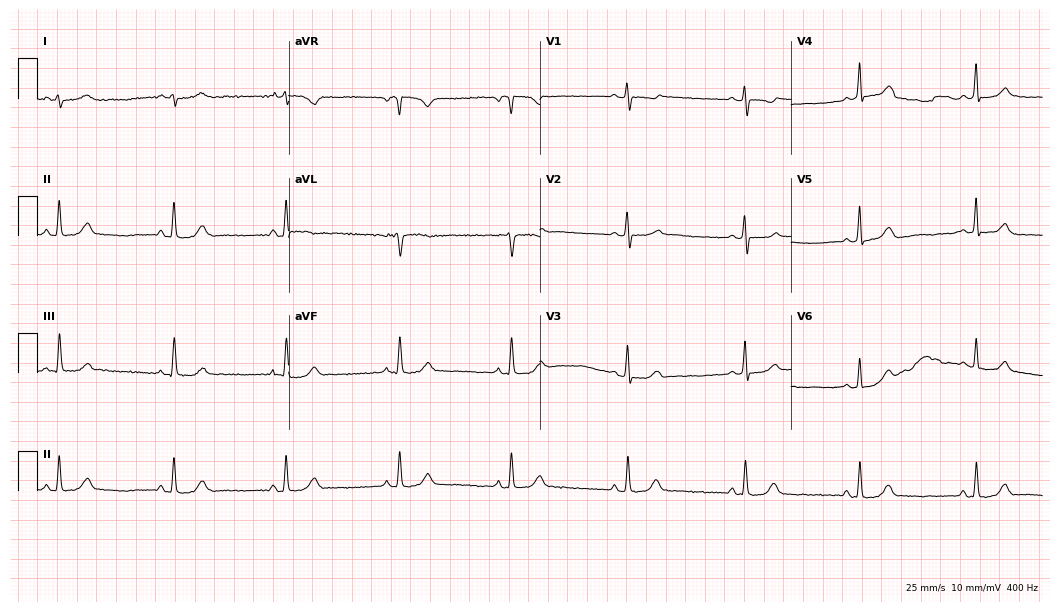
12-lead ECG from a woman, 47 years old. No first-degree AV block, right bundle branch block, left bundle branch block, sinus bradycardia, atrial fibrillation or sinus tachycardia recorded for this tracing.